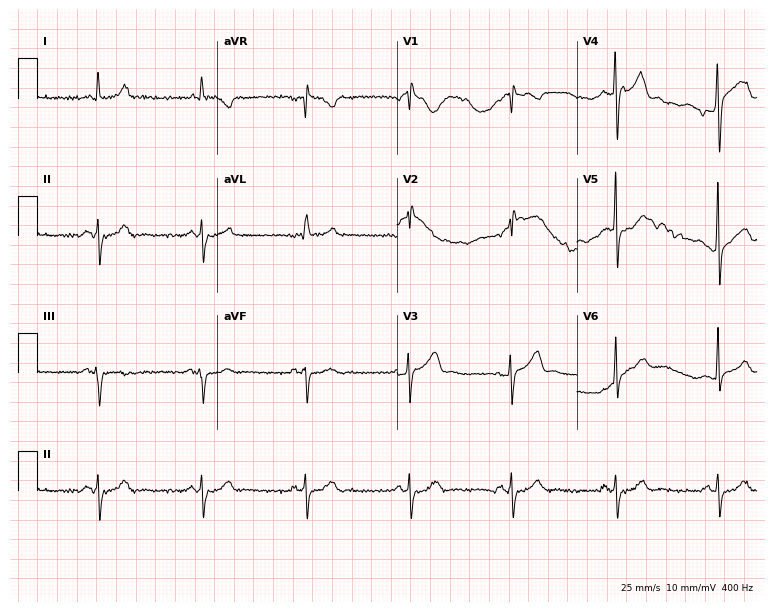
Standard 12-lead ECG recorded from a male patient, 60 years old. None of these six findings is recorded: first-degree AV block, right bundle branch block (RBBB), left bundle branch block (LBBB), sinus bradycardia, atrial fibrillation (AF), sinus tachycardia. Only these six findings were labelled.